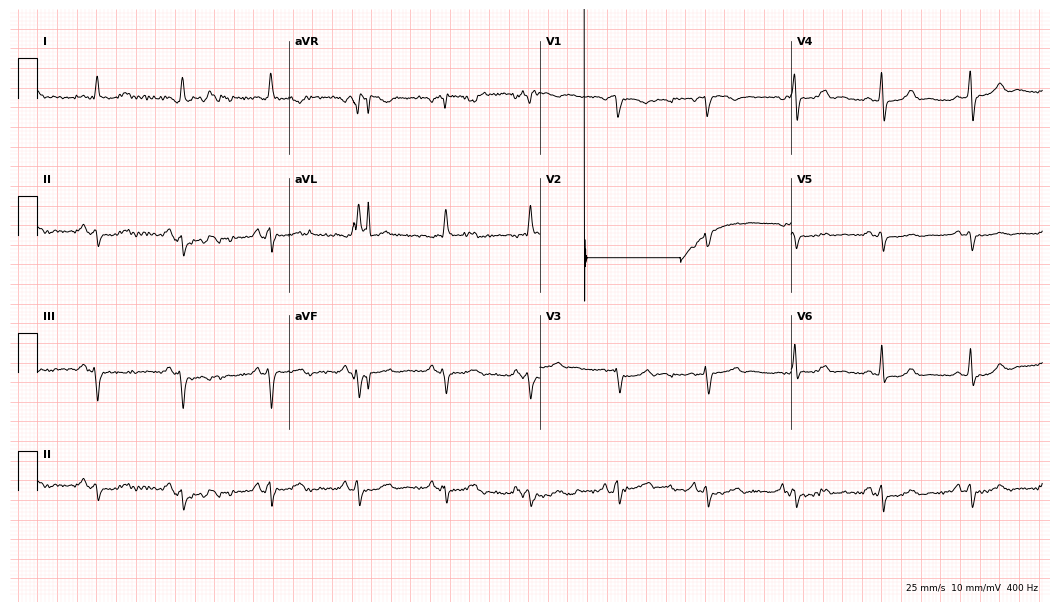
12-lead ECG from a 76-year-old woman. No first-degree AV block, right bundle branch block (RBBB), left bundle branch block (LBBB), sinus bradycardia, atrial fibrillation (AF) or sinus tachycardia recorded for this tracing.